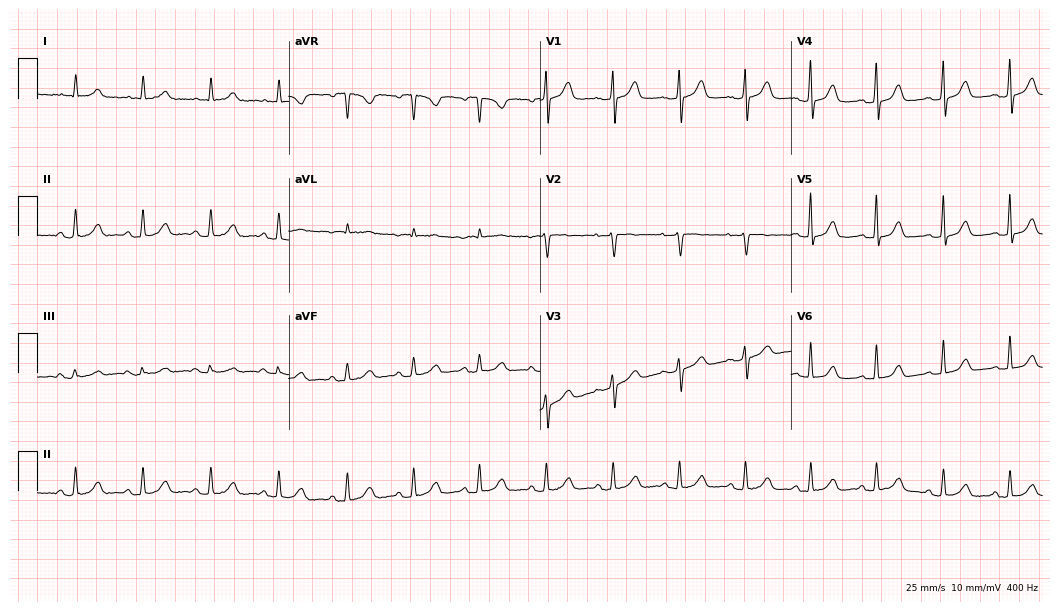
12-lead ECG from a female patient, 69 years old. Recorded interpretation: within normal limits.